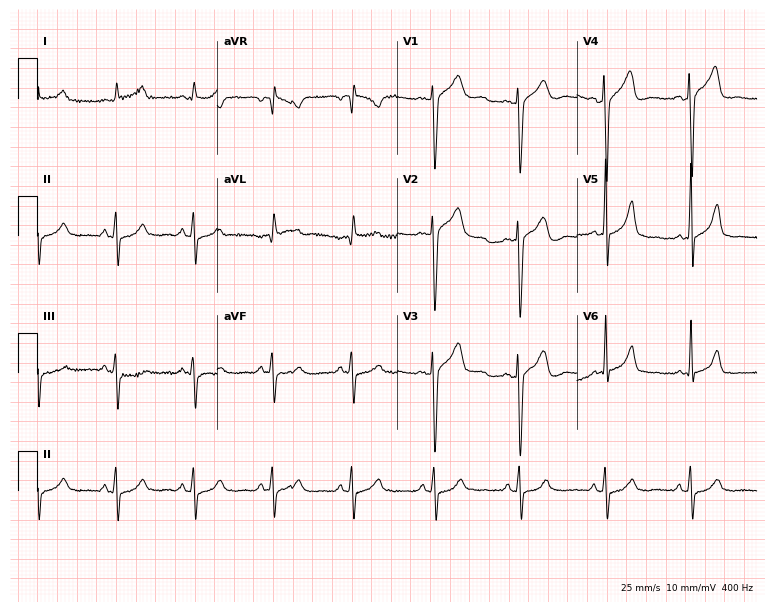
Standard 12-lead ECG recorded from a man, 45 years old. None of these six findings is recorded: first-degree AV block, right bundle branch block, left bundle branch block, sinus bradycardia, atrial fibrillation, sinus tachycardia. Findings outside these six are not listed.